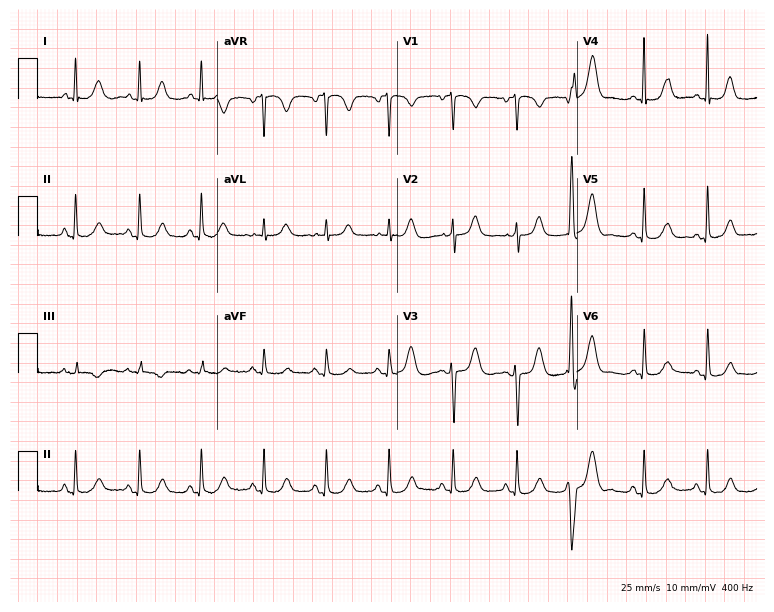
Standard 12-lead ECG recorded from an 82-year-old female patient (7.3-second recording at 400 Hz). None of these six findings is recorded: first-degree AV block, right bundle branch block, left bundle branch block, sinus bradycardia, atrial fibrillation, sinus tachycardia. Other findings, if any, are not listed.